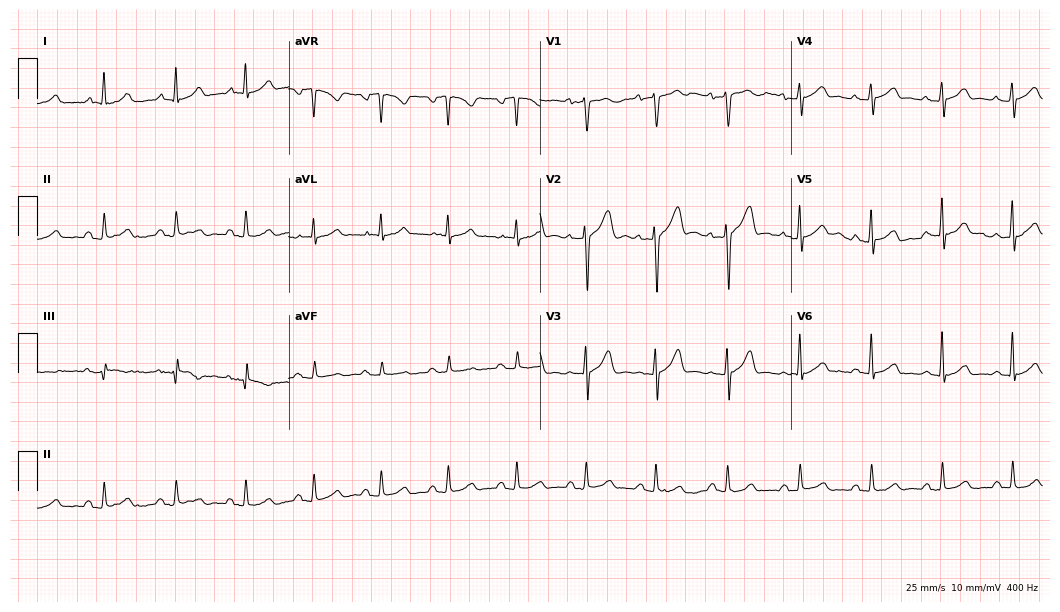
12-lead ECG from a man, 37 years old. Screened for six findings — first-degree AV block, right bundle branch block, left bundle branch block, sinus bradycardia, atrial fibrillation, sinus tachycardia — none is recorded. Only these six findings were labelled.